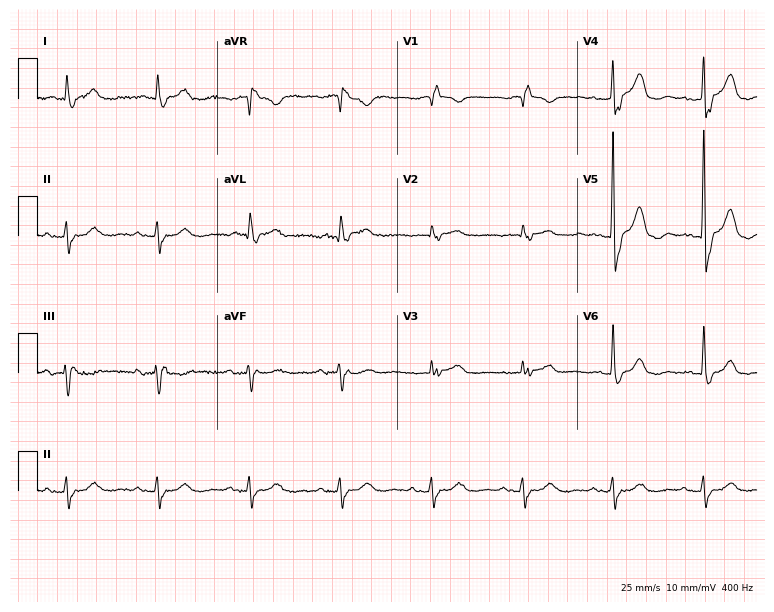
Resting 12-lead electrocardiogram (7.3-second recording at 400 Hz). Patient: a man, 81 years old. The tracing shows right bundle branch block.